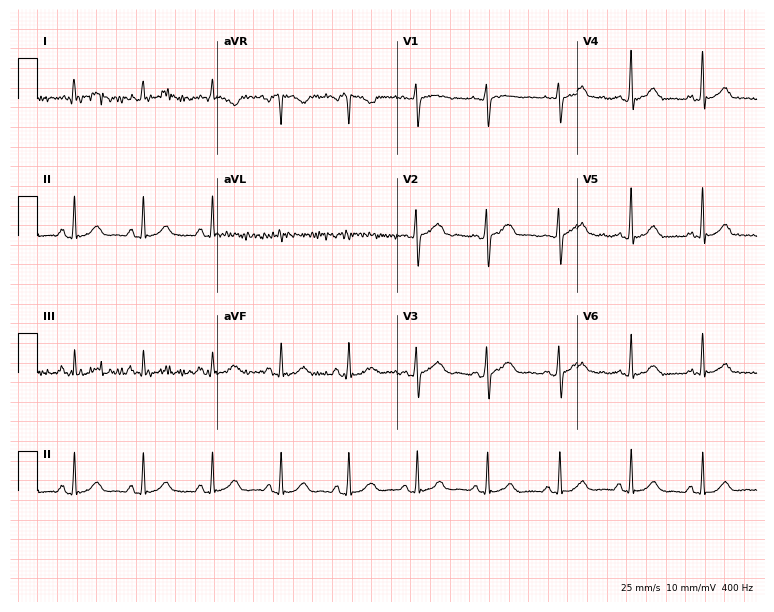
Standard 12-lead ECG recorded from a female patient, 26 years old. None of these six findings is recorded: first-degree AV block, right bundle branch block (RBBB), left bundle branch block (LBBB), sinus bradycardia, atrial fibrillation (AF), sinus tachycardia. Other findings, if any, are not listed.